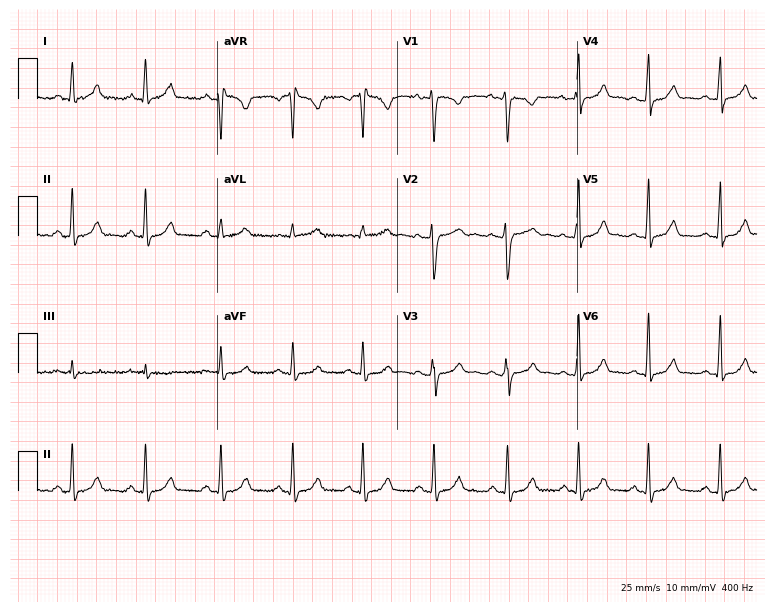
Electrocardiogram (7.3-second recording at 400 Hz), a woman, 23 years old. Overall reading on record: normal ECG.